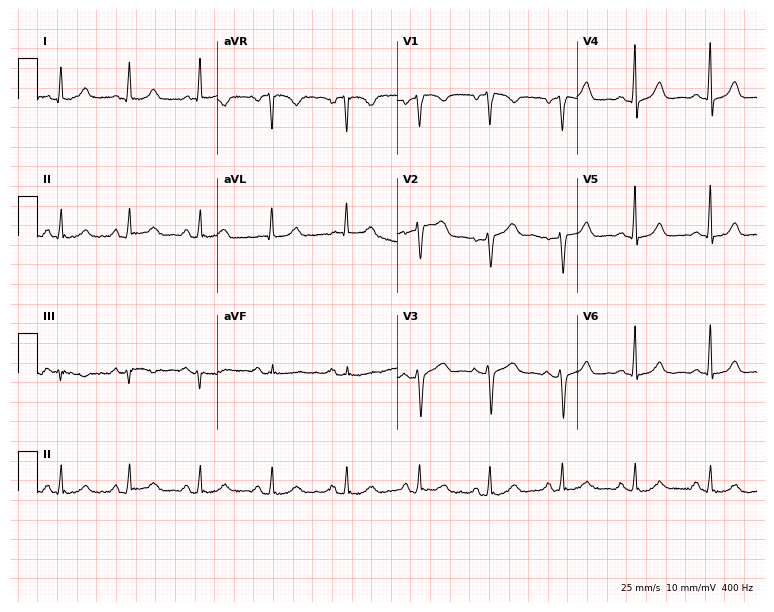
12-lead ECG from a female, 53 years old. Labelled as a normal ECG.